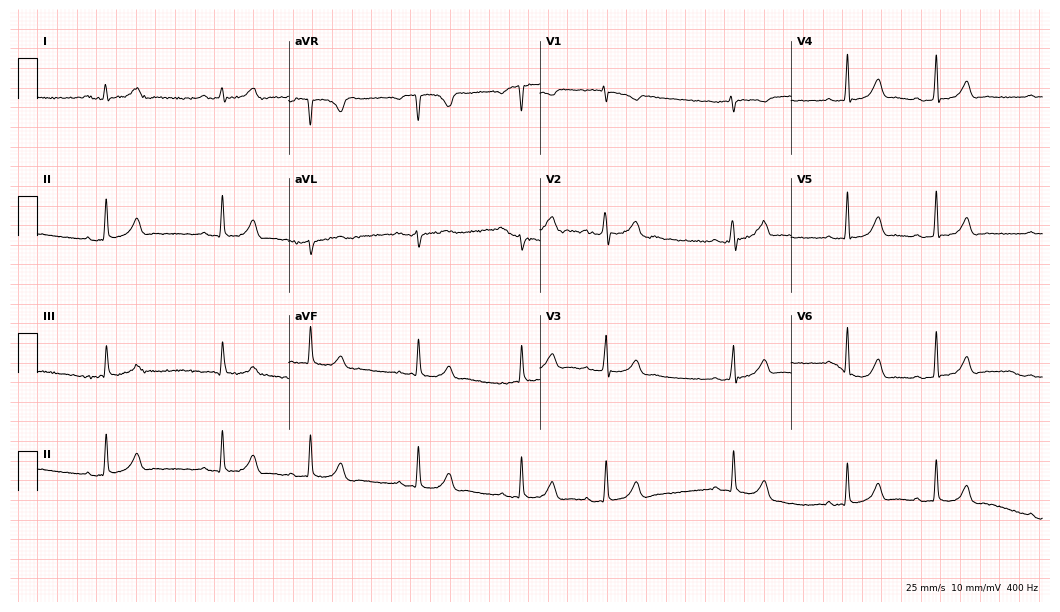
12-lead ECG from a female patient, 25 years old. No first-degree AV block, right bundle branch block, left bundle branch block, sinus bradycardia, atrial fibrillation or sinus tachycardia recorded for this tracing. Only these six findings were labelled.